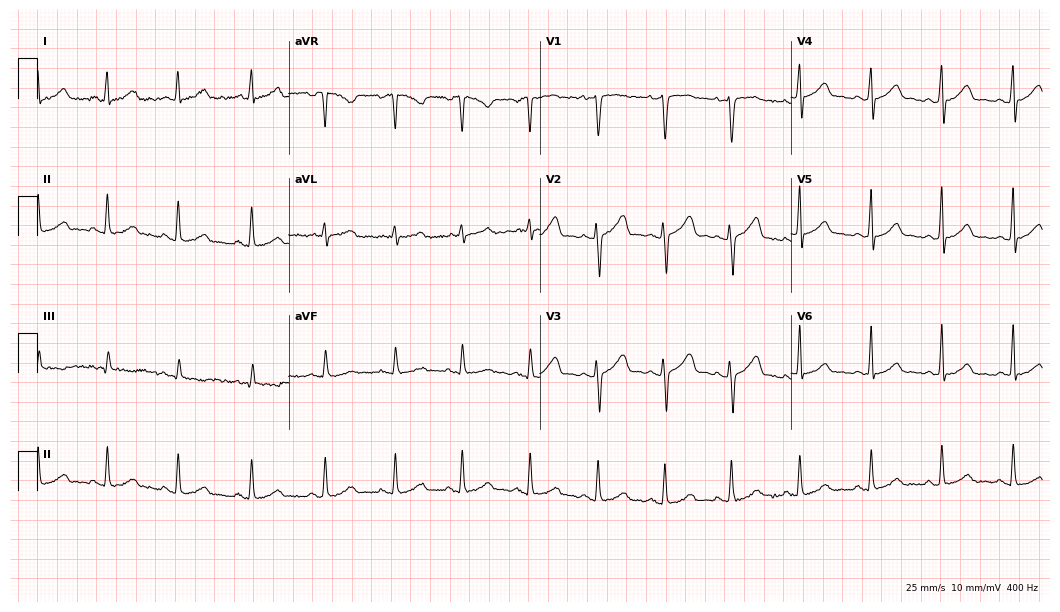
Resting 12-lead electrocardiogram (10.2-second recording at 400 Hz). Patient: a female, 25 years old. Read as a normal ECG.